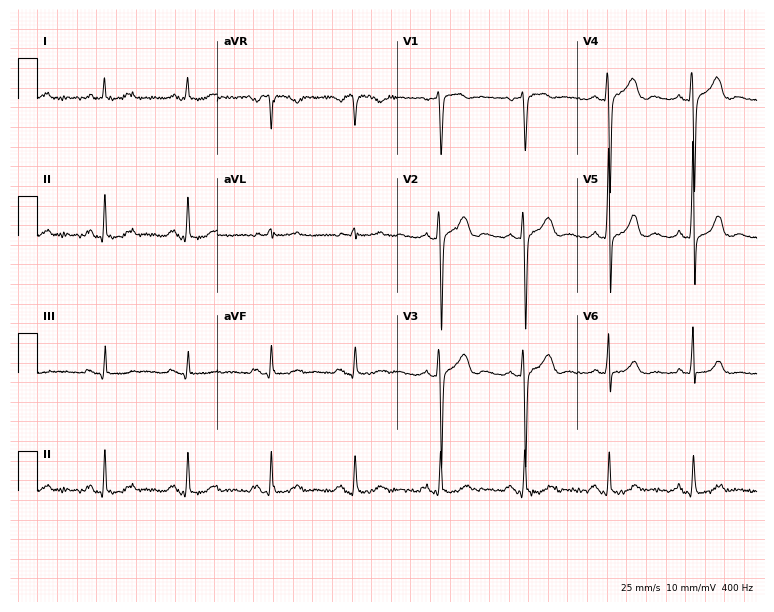
12-lead ECG from a man, 73 years old (7.3-second recording at 400 Hz). Recorded interpretation: within normal limits.